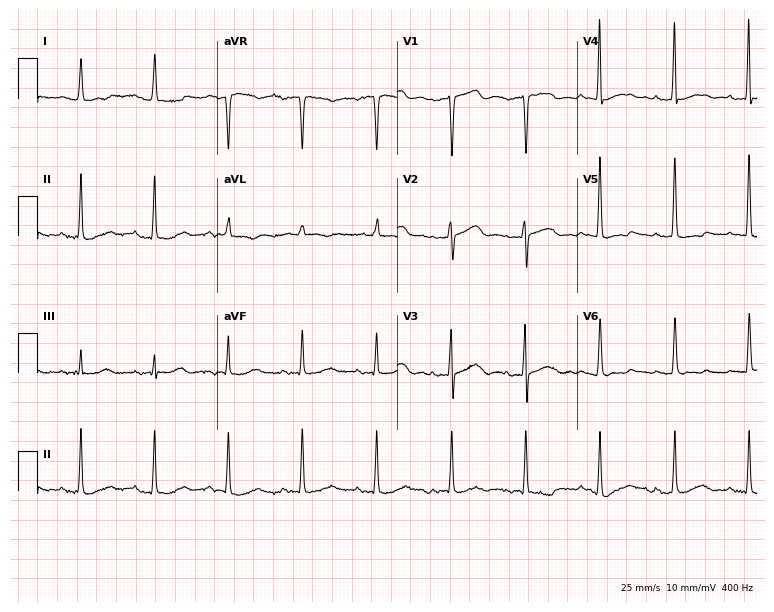
Electrocardiogram (7.3-second recording at 400 Hz), an 87-year-old female. Of the six screened findings (first-degree AV block, right bundle branch block, left bundle branch block, sinus bradycardia, atrial fibrillation, sinus tachycardia), none is recorded.